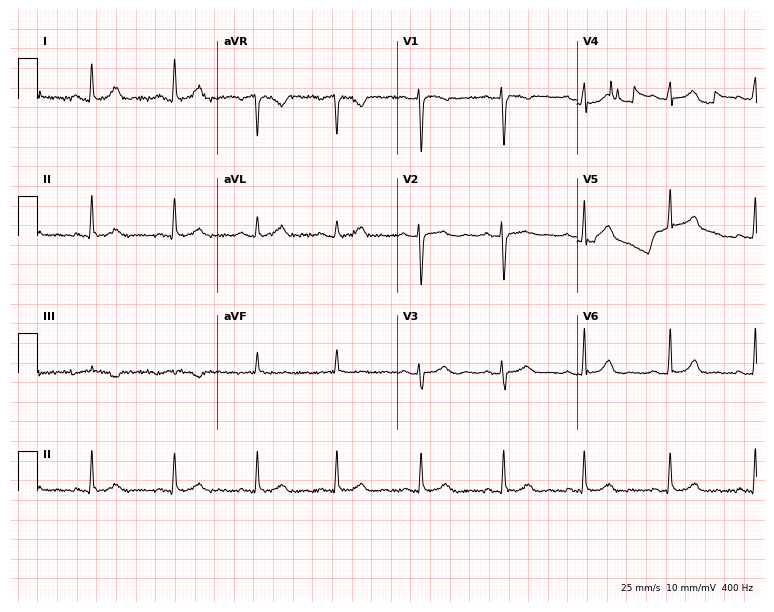
12-lead ECG (7.3-second recording at 400 Hz) from a female, 48 years old. Screened for six findings — first-degree AV block, right bundle branch block (RBBB), left bundle branch block (LBBB), sinus bradycardia, atrial fibrillation (AF), sinus tachycardia — none is recorded.